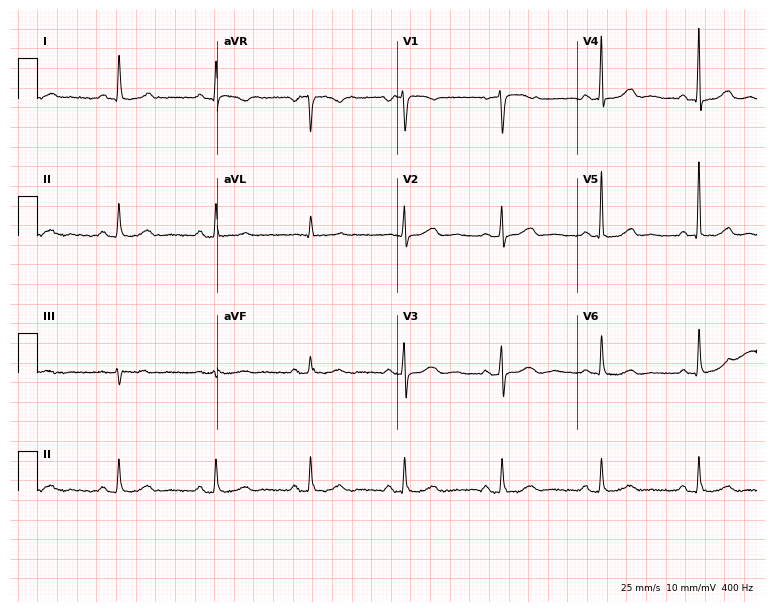
12-lead ECG from a woman, 65 years old (7.3-second recording at 400 Hz). No first-degree AV block, right bundle branch block, left bundle branch block, sinus bradycardia, atrial fibrillation or sinus tachycardia recorded for this tracing. Other findings, if any, are not listed.